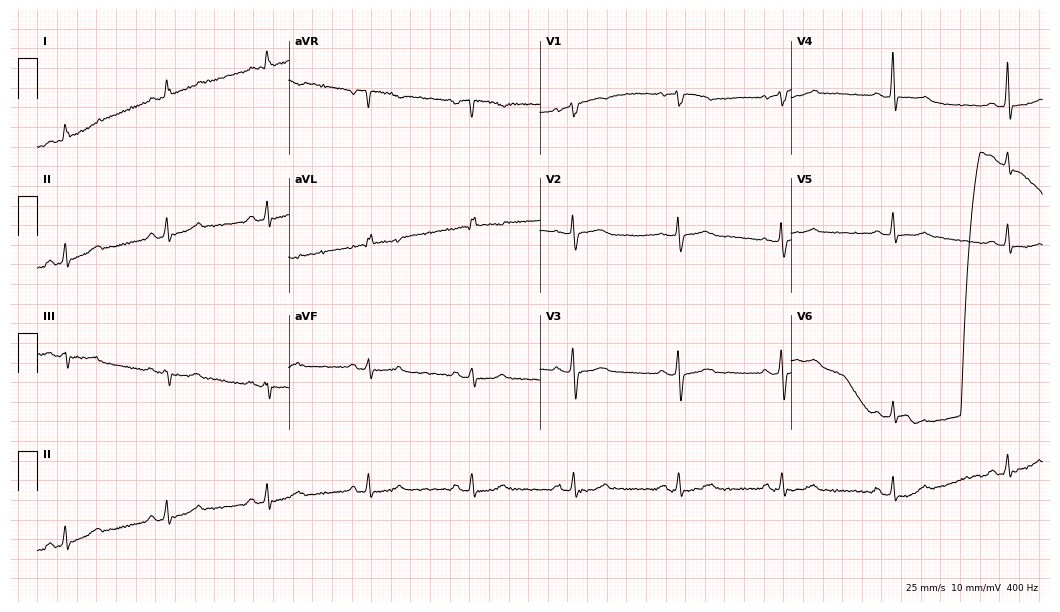
Electrocardiogram, a 54-year-old female. Of the six screened findings (first-degree AV block, right bundle branch block, left bundle branch block, sinus bradycardia, atrial fibrillation, sinus tachycardia), none is recorded.